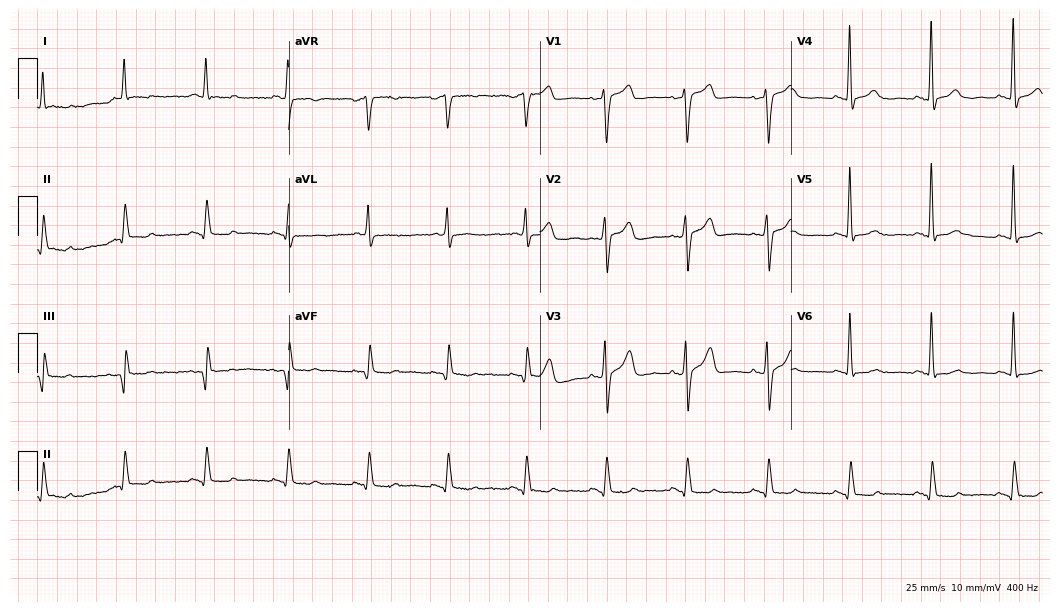
Resting 12-lead electrocardiogram (10.2-second recording at 400 Hz). Patient: a 66-year-old man. None of these six findings is recorded: first-degree AV block, right bundle branch block, left bundle branch block, sinus bradycardia, atrial fibrillation, sinus tachycardia.